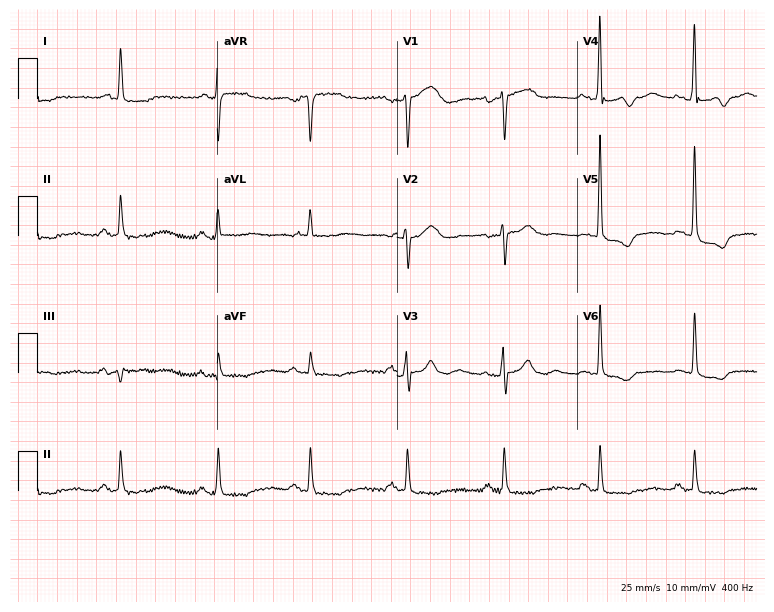
12-lead ECG from a 78-year-old woman. Screened for six findings — first-degree AV block, right bundle branch block (RBBB), left bundle branch block (LBBB), sinus bradycardia, atrial fibrillation (AF), sinus tachycardia — none is recorded. Other findings, if any, are not listed.